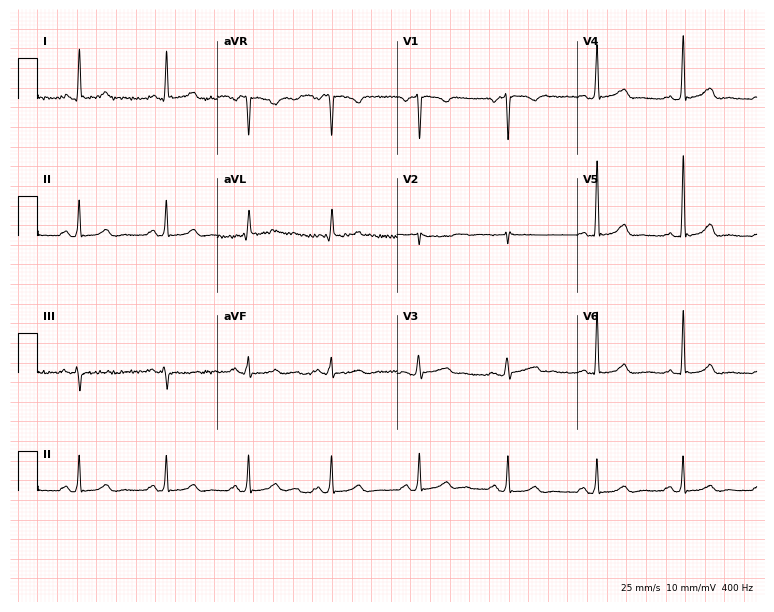
ECG (7.3-second recording at 400 Hz) — a 31-year-old female patient. Labelled as a normal ECG.